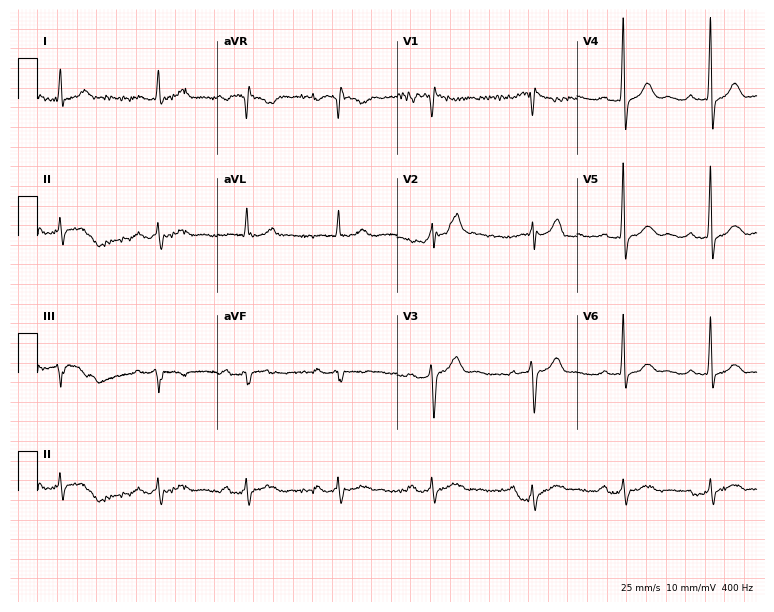
Resting 12-lead electrocardiogram. Patient: a 65-year-old male. The tracing shows first-degree AV block.